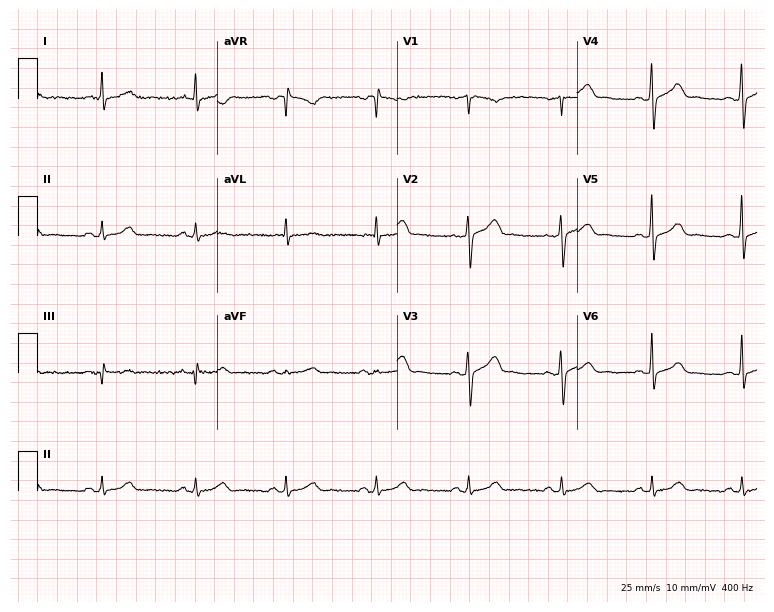
Standard 12-lead ECG recorded from a male, 50 years old (7.3-second recording at 400 Hz). Read as a normal ECG.